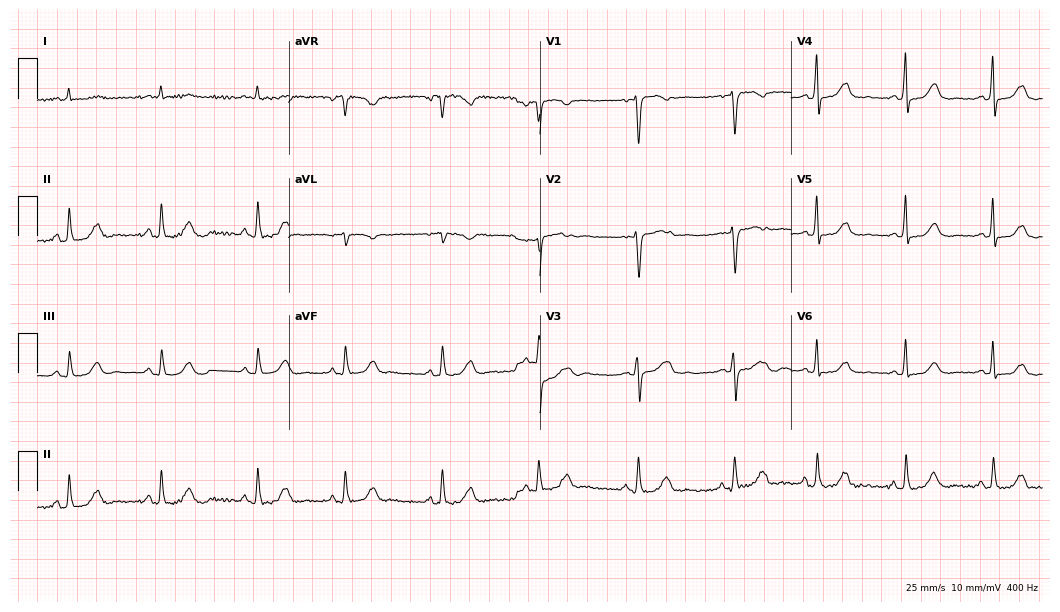
12-lead ECG from a 50-year-old female patient. Labelled as a normal ECG.